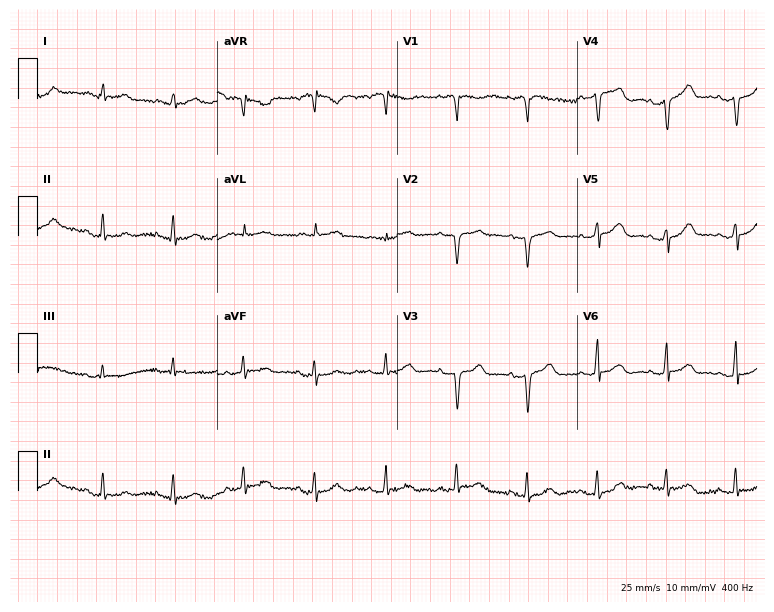
Standard 12-lead ECG recorded from a woman, 73 years old. None of these six findings is recorded: first-degree AV block, right bundle branch block, left bundle branch block, sinus bradycardia, atrial fibrillation, sinus tachycardia. Only these six findings were labelled.